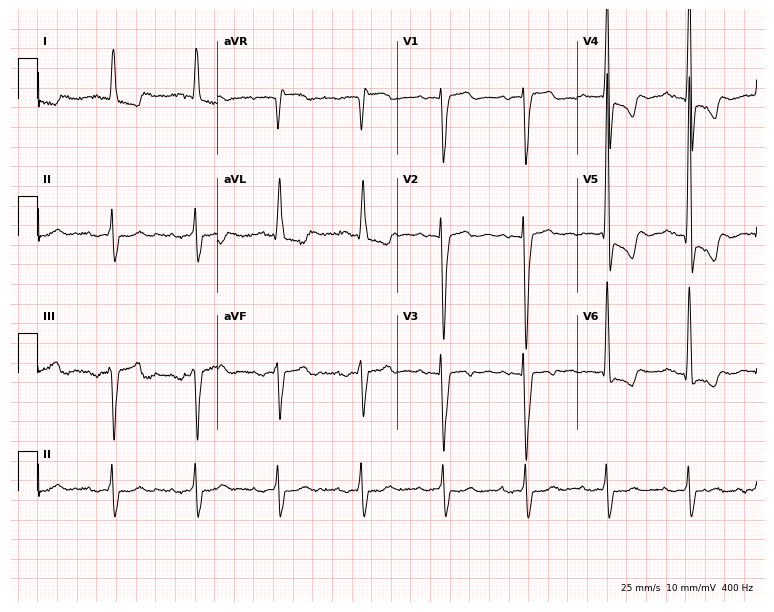
Electrocardiogram (7.3-second recording at 400 Hz), a 78-year-old male. Interpretation includes first-degree AV block.